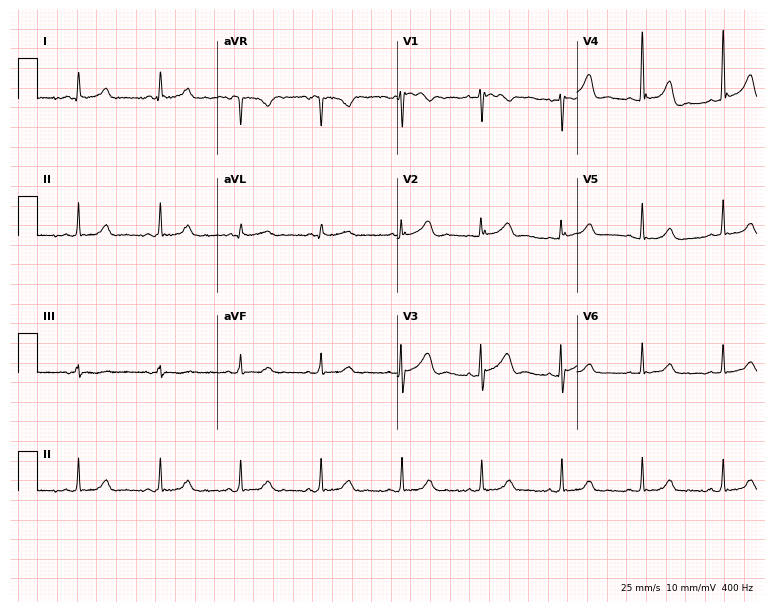
Standard 12-lead ECG recorded from a 41-year-old female patient (7.3-second recording at 400 Hz). Read as a normal ECG.